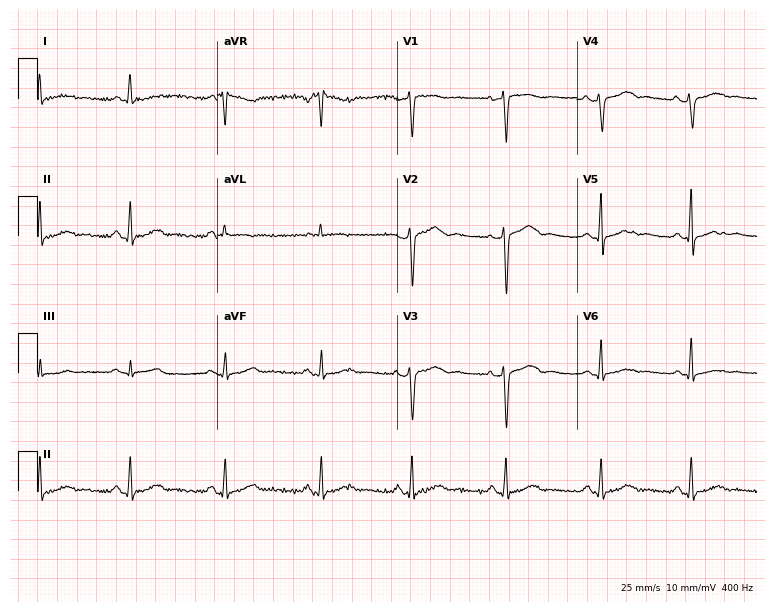
12-lead ECG from a woman, 51 years old (7.3-second recording at 400 Hz). No first-degree AV block, right bundle branch block, left bundle branch block, sinus bradycardia, atrial fibrillation or sinus tachycardia recorded for this tracing. Findings outside these six are not listed.